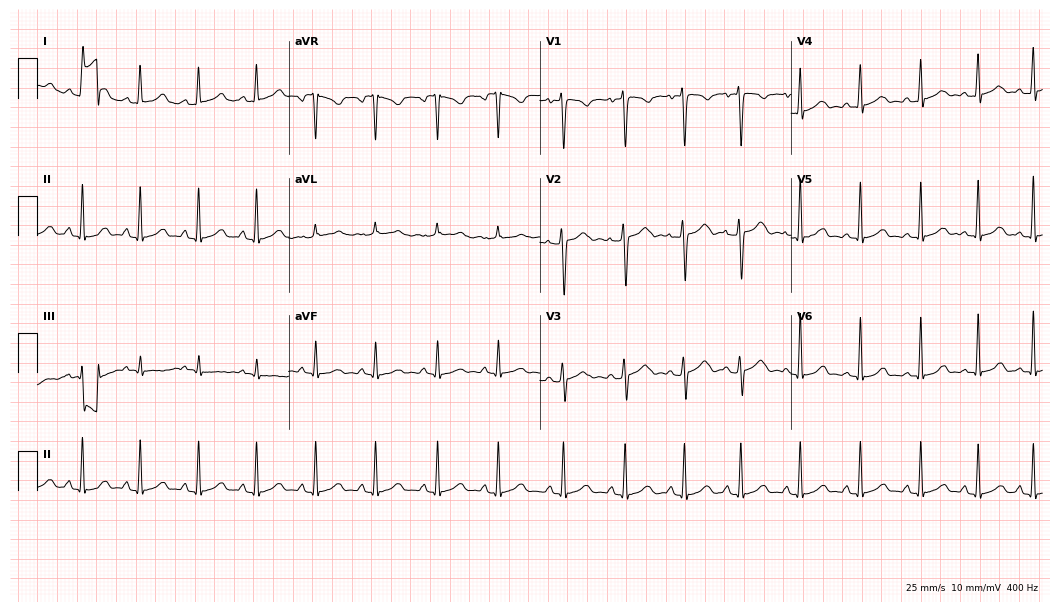
12-lead ECG (10.2-second recording at 400 Hz) from a 22-year-old woman. Labelled as a normal ECG.